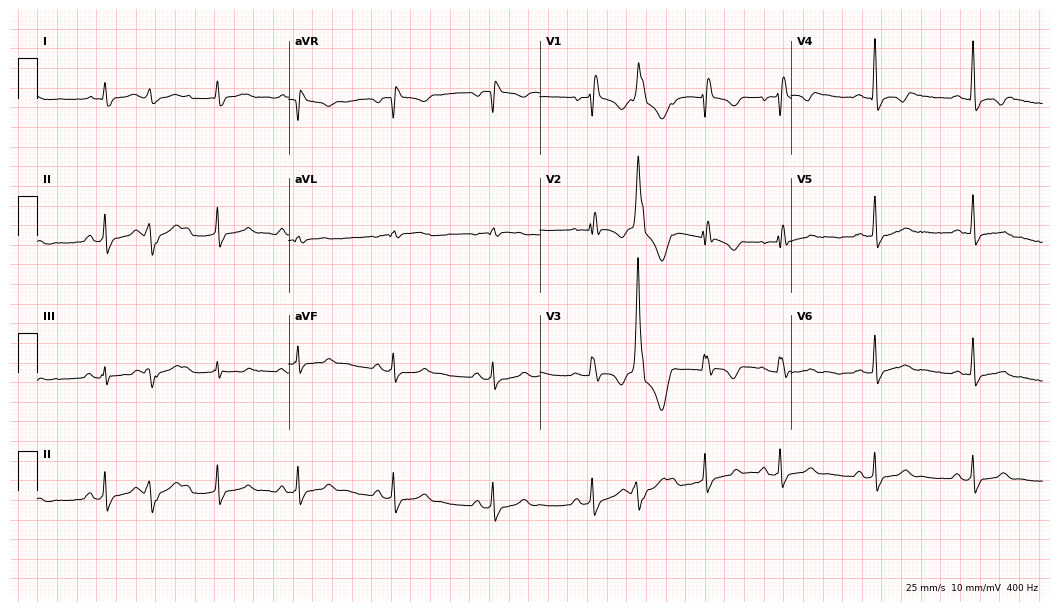
Electrocardiogram, a 65-year-old man. Interpretation includes right bundle branch block.